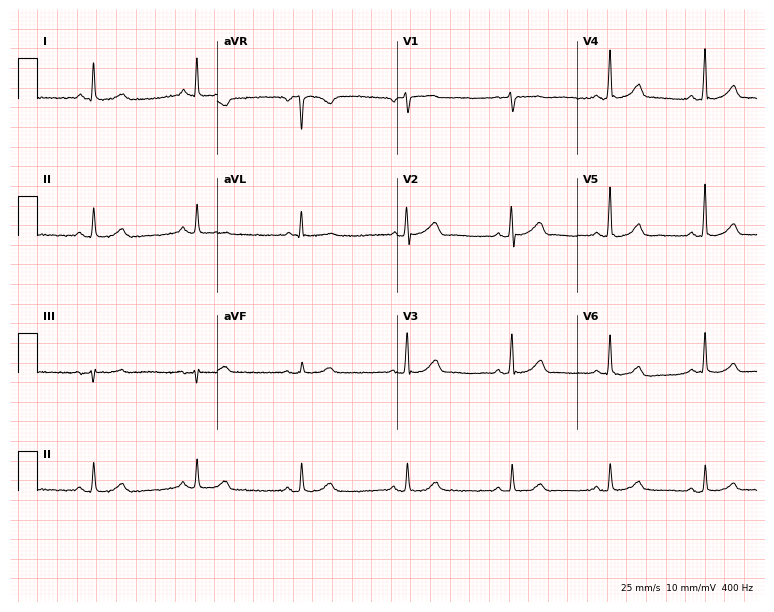
Electrocardiogram, a male patient, 70 years old. Overall reading on record: normal ECG.